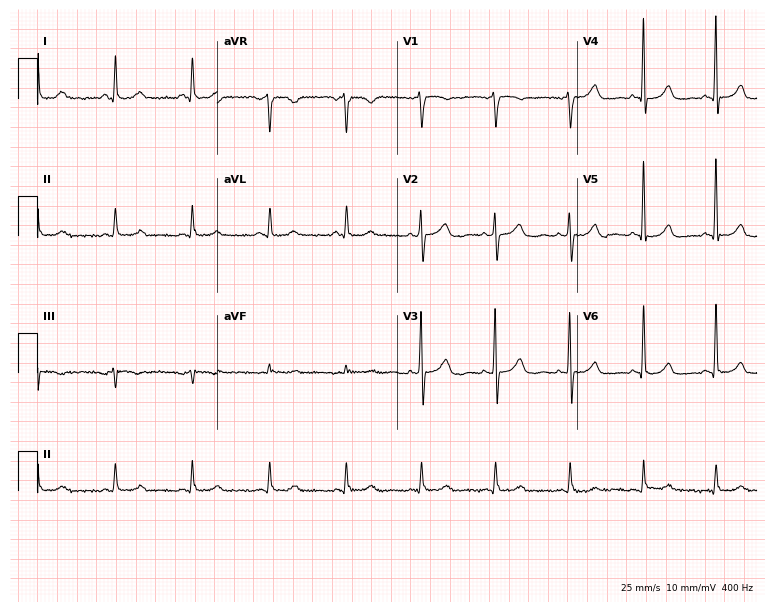
ECG — a 71-year-old woman. Screened for six findings — first-degree AV block, right bundle branch block, left bundle branch block, sinus bradycardia, atrial fibrillation, sinus tachycardia — none is recorded.